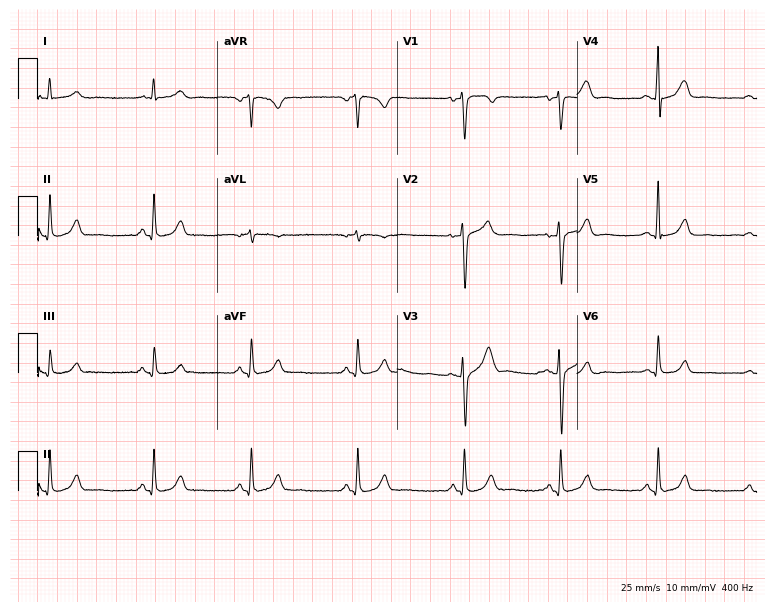
Resting 12-lead electrocardiogram. Patient: a female, 36 years old. None of these six findings is recorded: first-degree AV block, right bundle branch block, left bundle branch block, sinus bradycardia, atrial fibrillation, sinus tachycardia.